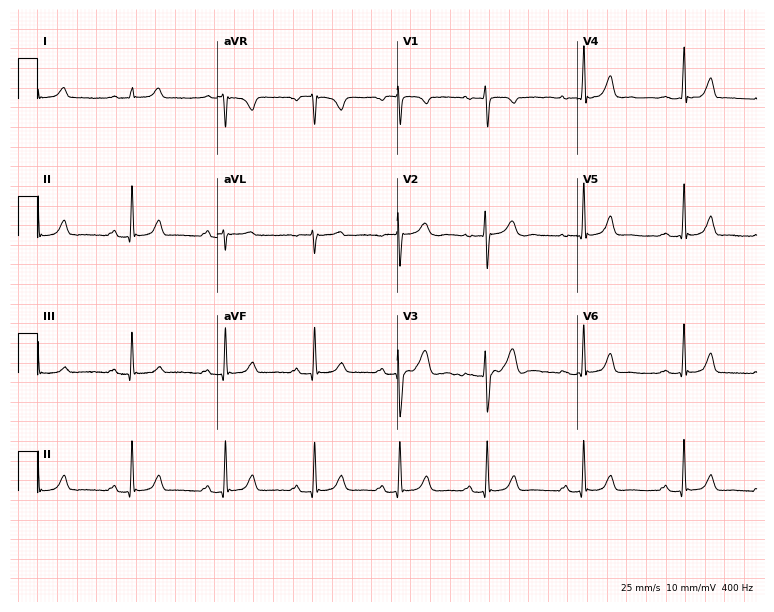
Electrocardiogram, an 18-year-old woman. Of the six screened findings (first-degree AV block, right bundle branch block, left bundle branch block, sinus bradycardia, atrial fibrillation, sinus tachycardia), none is recorded.